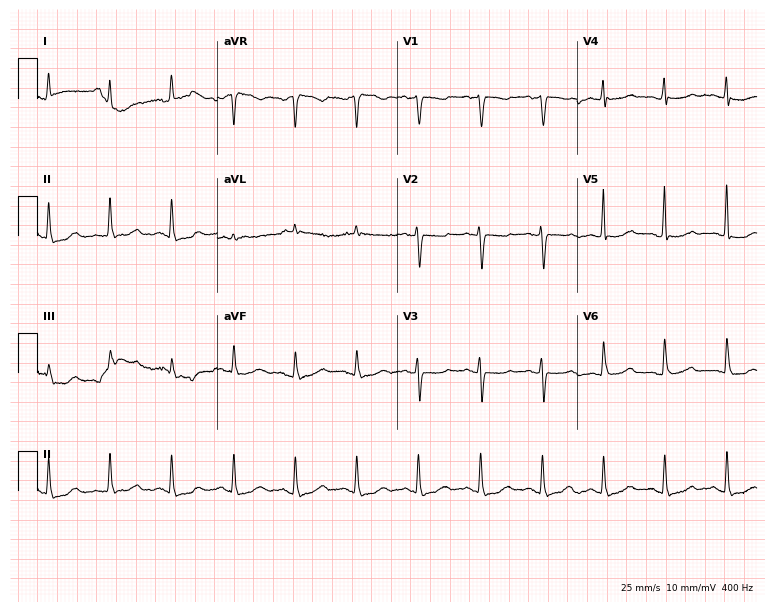
ECG — a female, 81 years old. Labelled as a normal ECG.